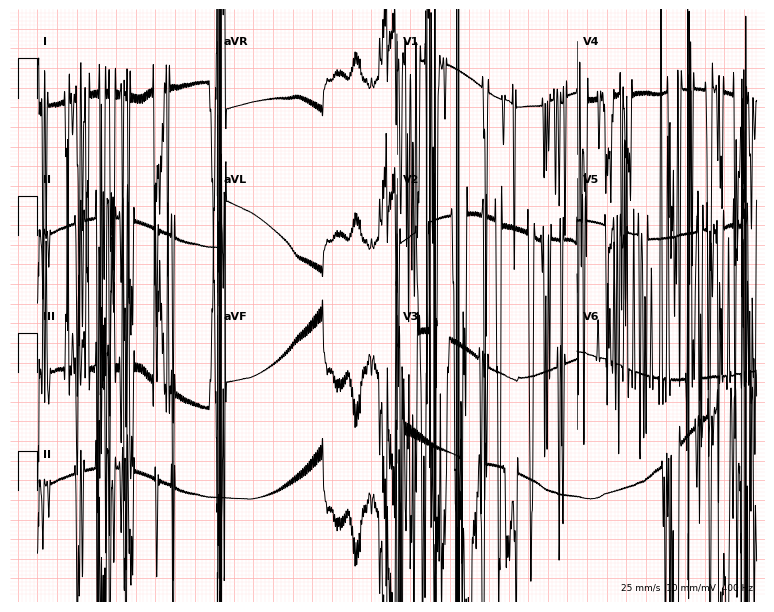
Standard 12-lead ECG recorded from a male patient, 26 years old (7.3-second recording at 400 Hz). None of these six findings is recorded: first-degree AV block, right bundle branch block, left bundle branch block, sinus bradycardia, atrial fibrillation, sinus tachycardia.